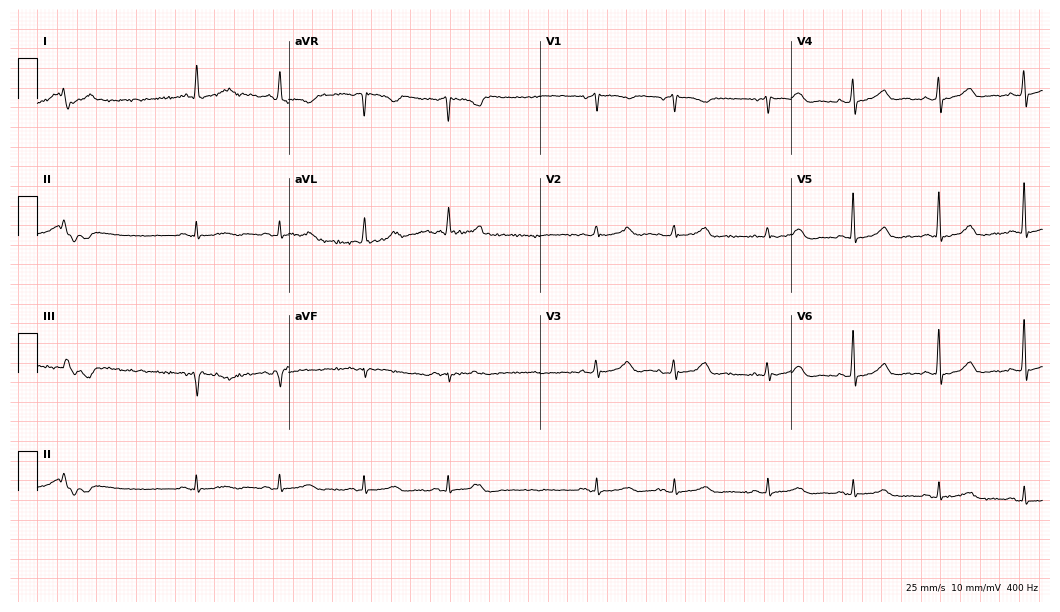
Resting 12-lead electrocardiogram. Patient: a 70-year-old female. None of these six findings is recorded: first-degree AV block, right bundle branch block, left bundle branch block, sinus bradycardia, atrial fibrillation, sinus tachycardia. Findings outside these six are not listed.